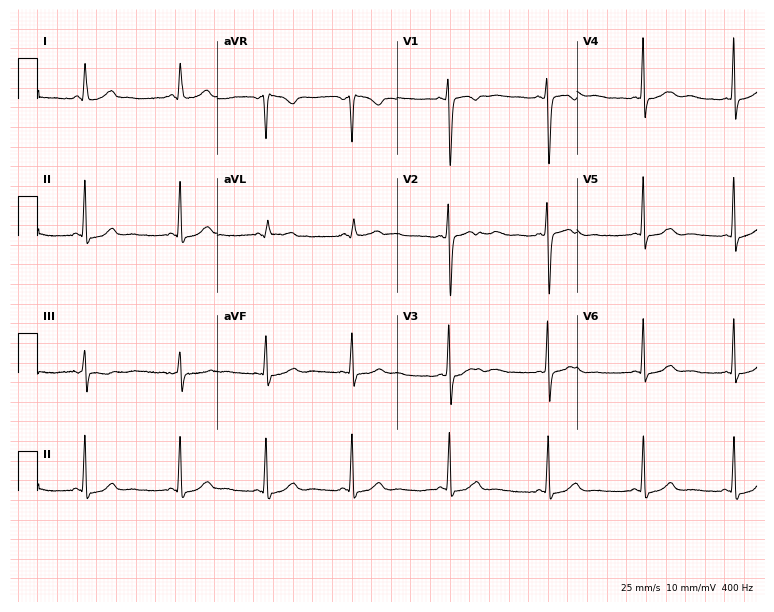
Standard 12-lead ECG recorded from a female, 37 years old. None of these six findings is recorded: first-degree AV block, right bundle branch block (RBBB), left bundle branch block (LBBB), sinus bradycardia, atrial fibrillation (AF), sinus tachycardia. Only these six findings were labelled.